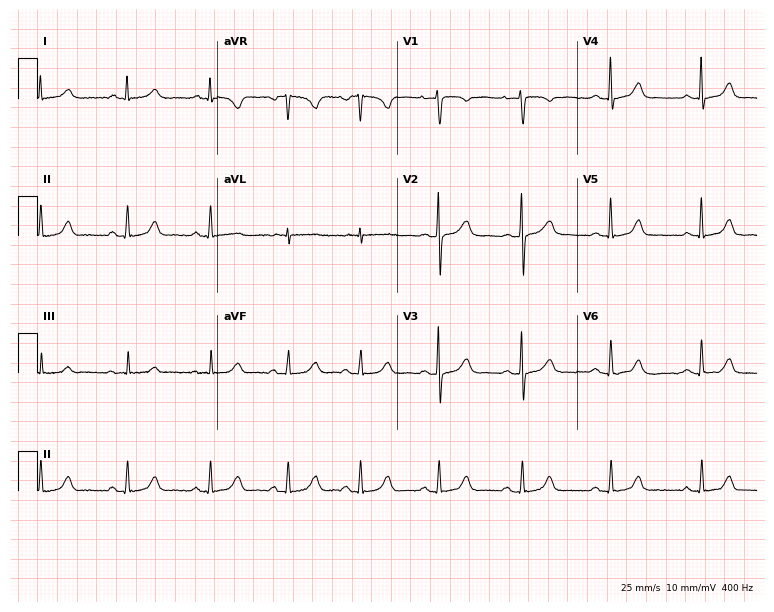
Standard 12-lead ECG recorded from a female, 39 years old (7.3-second recording at 400 Hz). Read as a normal ECG.